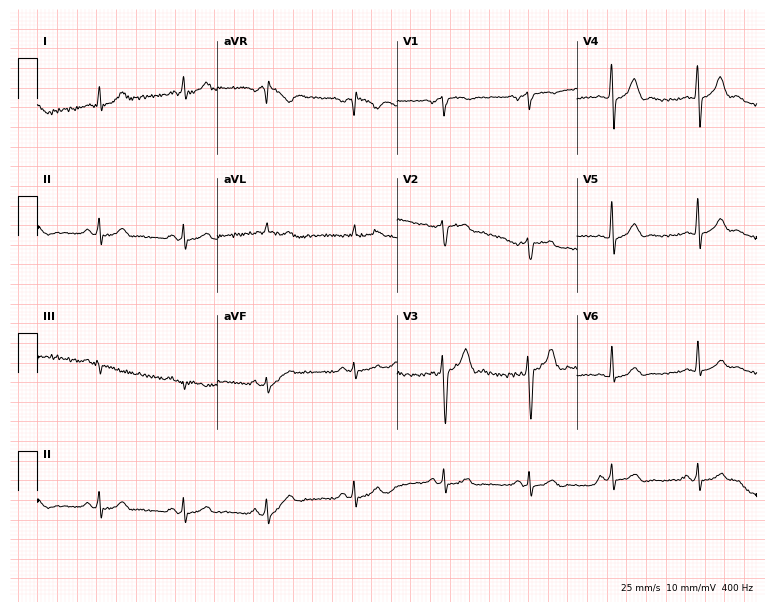
12-lead ECG from a man, 30 years old. Screened for six findings — first-degree AV block, right bundle branch block, left bundle branch block, sinus bradycardia, atrial fibrillation, sinus tachycardia — none is recorded. Other findings, if any, are not listed.